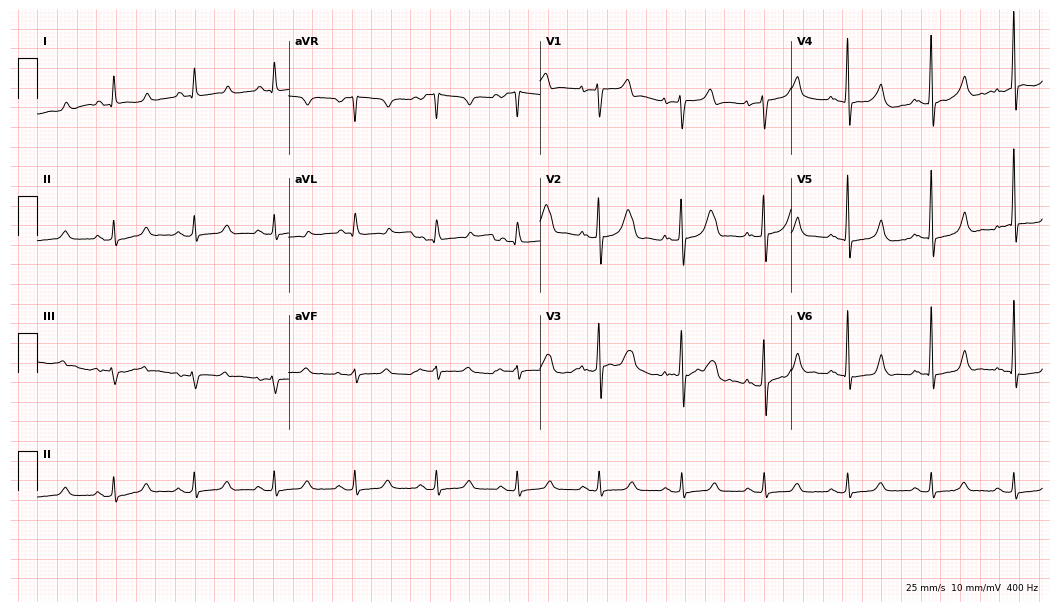
12-lead ECG from a 43-year-old male. Recorded interpretation: within normal limits.